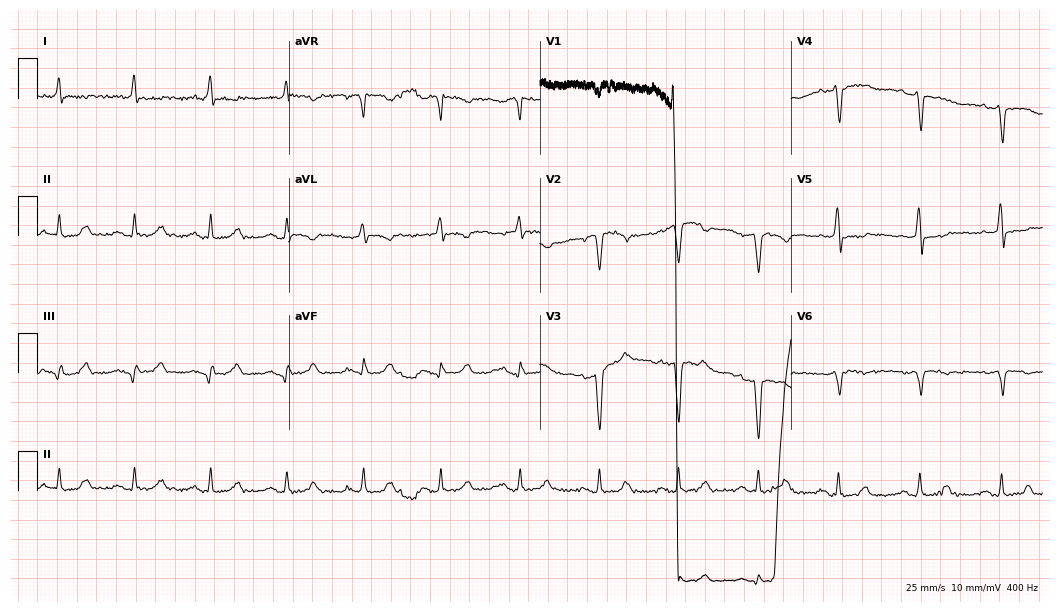
Resting 12-lead electrocardiogram (10.2-second recording at 400 Hz). Patient: a 79-year-old male. None of these six findings is recorded: first-degree AV block, right bundle branch block (RBBB), left bundle branch block (LBBB), sinus bradycardia, atrial fibrillation (AF), sinus tachycardia. Other findings, if any, are not listed.